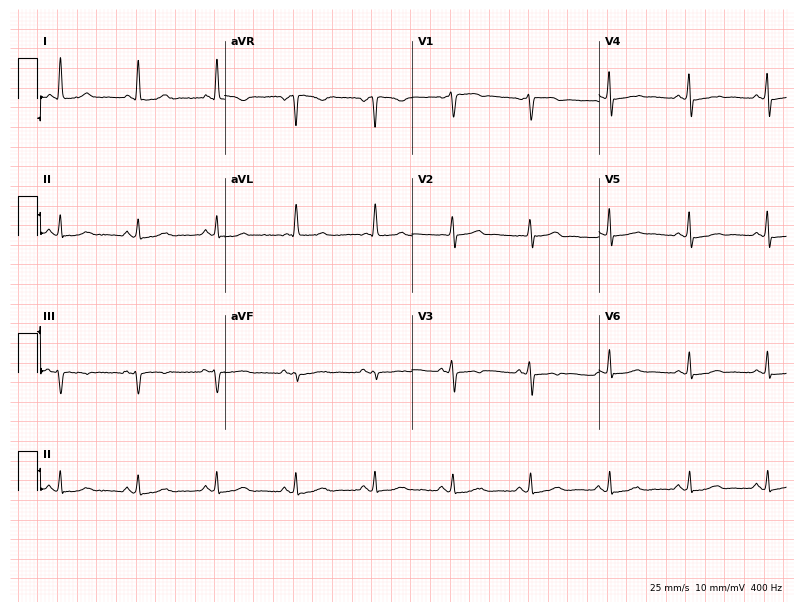
Standard 12-lead ECG recorded from a female patient, 78 years old (7.6-second recording at 400 Hz). None of these six findings is recorded: first-degree AV block, right bundle branch block, left bundle branch block, sinus bradycardia, atrial fibrillation, sinus tachycardia.